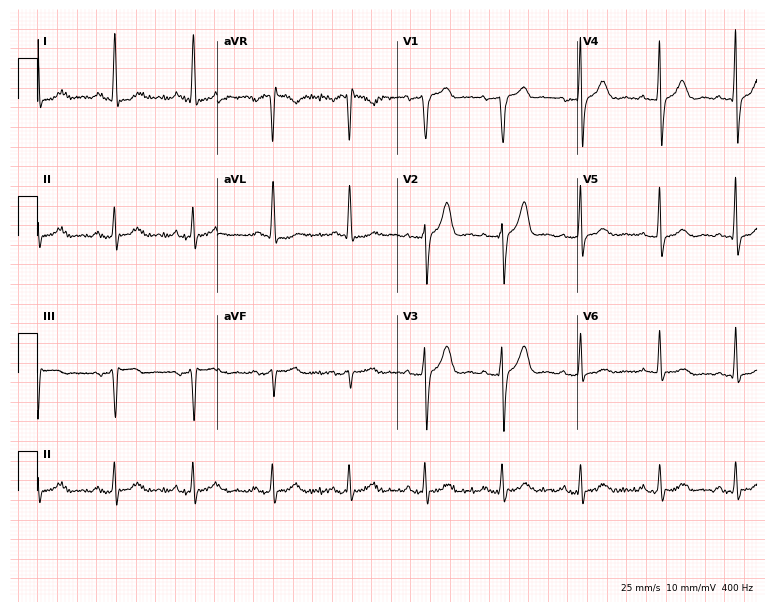
Resting 12-lead electrocardiogram. Patient: a female, 60 years old. Read as a normal ECG.